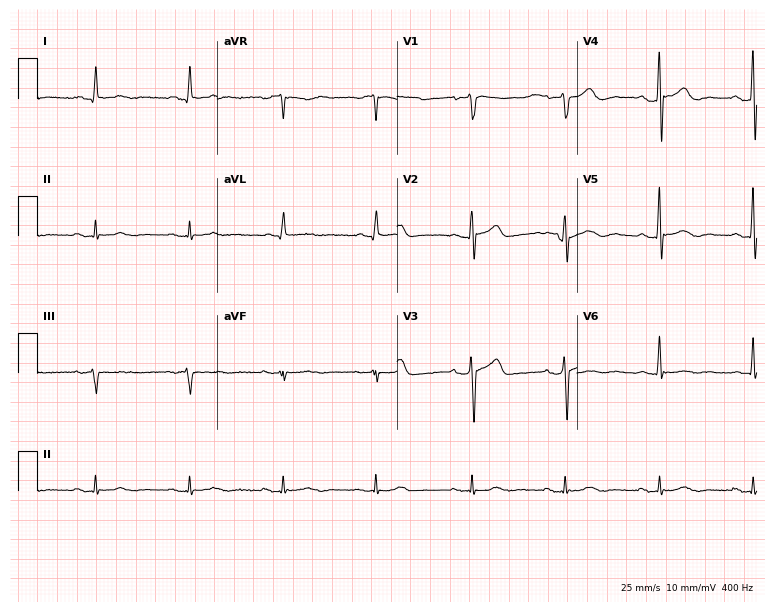
ECG (7.3-second recording at 400 Hz) — a male, 79 years old. Screened for six findings — first-degree AV block, right bundle branch block (RBBB), left bundle branch block (LBBB), sinus bradycardia, atrial fibrillation (AF), sinus tachycardia — none is recorded. Findings outside these six are not listed.